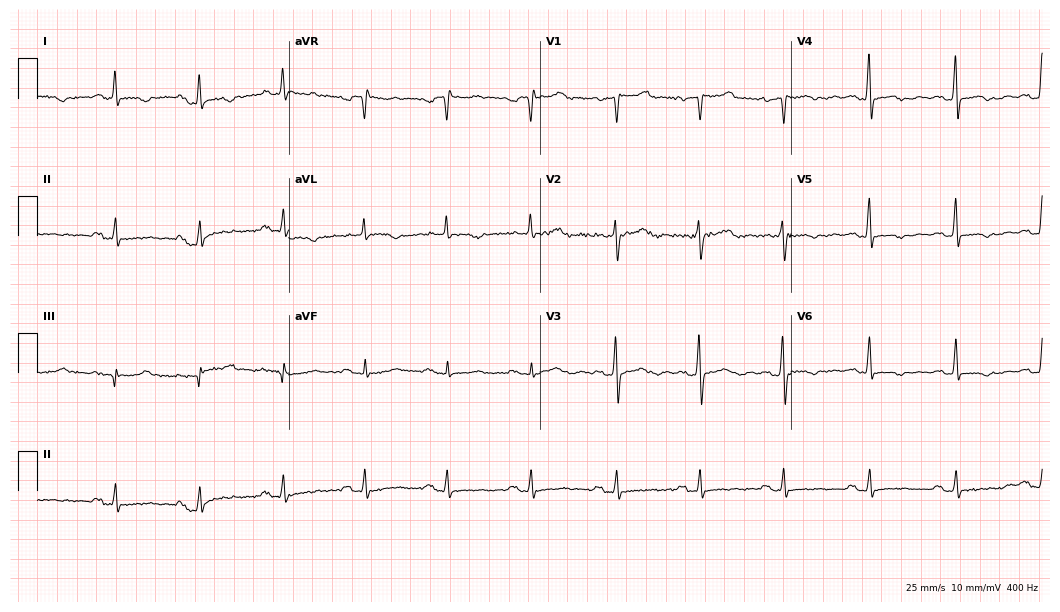
Resting 12-lead electrocardiogram. Patient: a 64-year-old female. None of these six findings is recorded: first-degree AV block, right bundle branch block, left bundle branch block, sinus bradycardia, atrial fibrillation, sinus tachycardia.